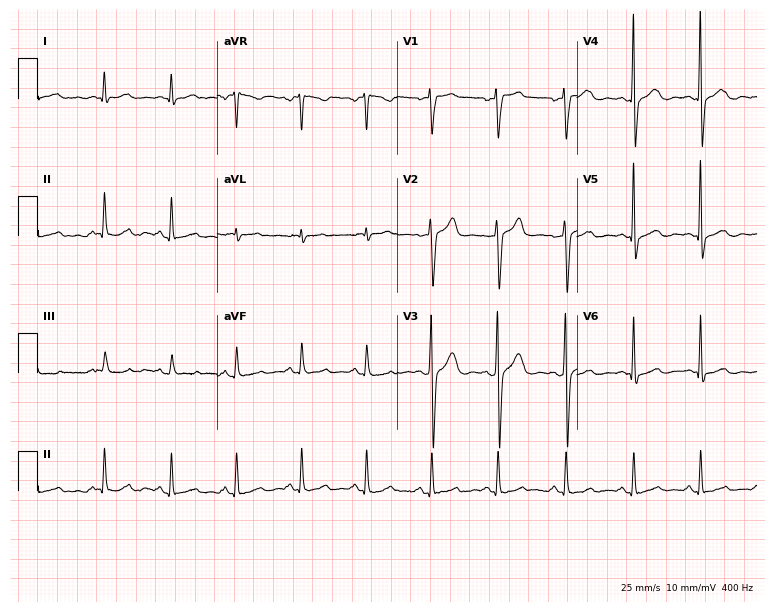
12-lead ECG from a 42-year-old male patient (7.3-second recording at 400 Hz). Recorded interpretation: within normal limits.